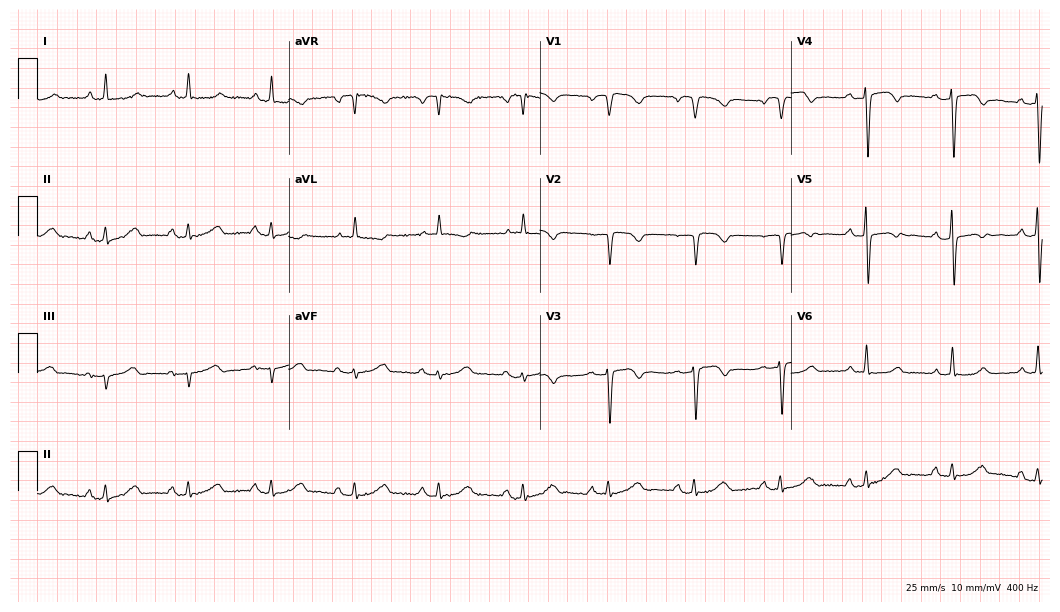
Resting 12-lead electrocardiogram (10.2-second recording at 400 Hz). Patient: a female, 81 years old. None of these six findings is recorded: first-degree AV block, right bundle branch block, left bundle branch block, sinus bradycardia, atrial fibrillation, sinus tachycardia. Only these six findings were labelled.